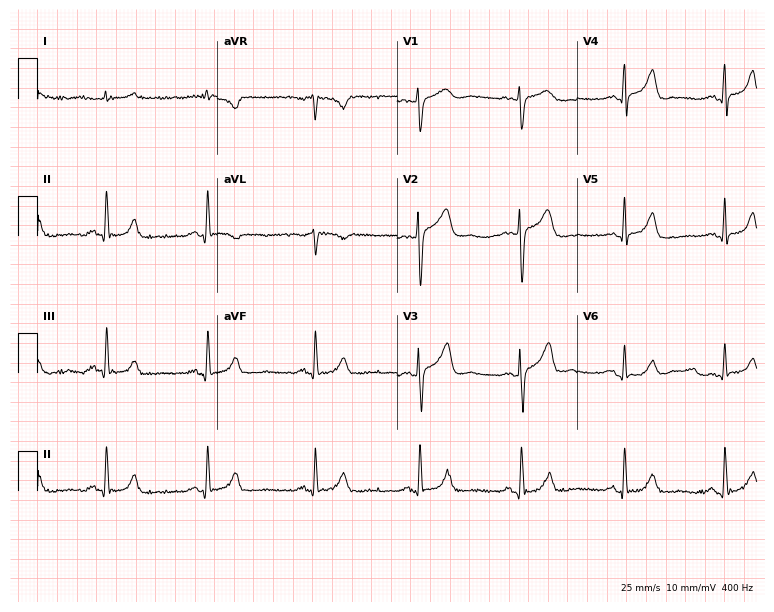
Electrocardiogram, a 73-year-old male patient. Overall reading on record: normal ECG.